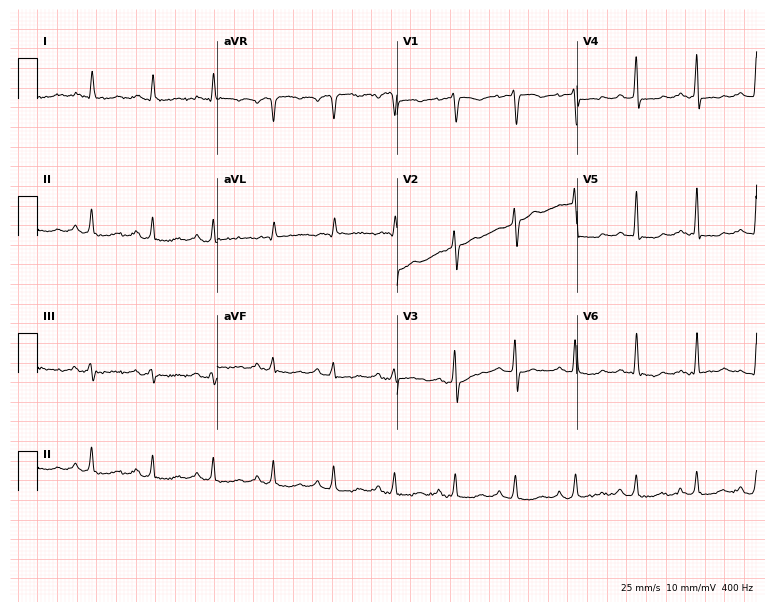
Standard 12-lead ECG recorded from a man, 82 years old. None of these six findings is recorded: first-degree AV block, right bundle branch block (RBBB), left bundle branch block (LBBB), sinus bradycardia, atrial fibrillation (AF), sinus tachycardia. Only these six findings were labelled.